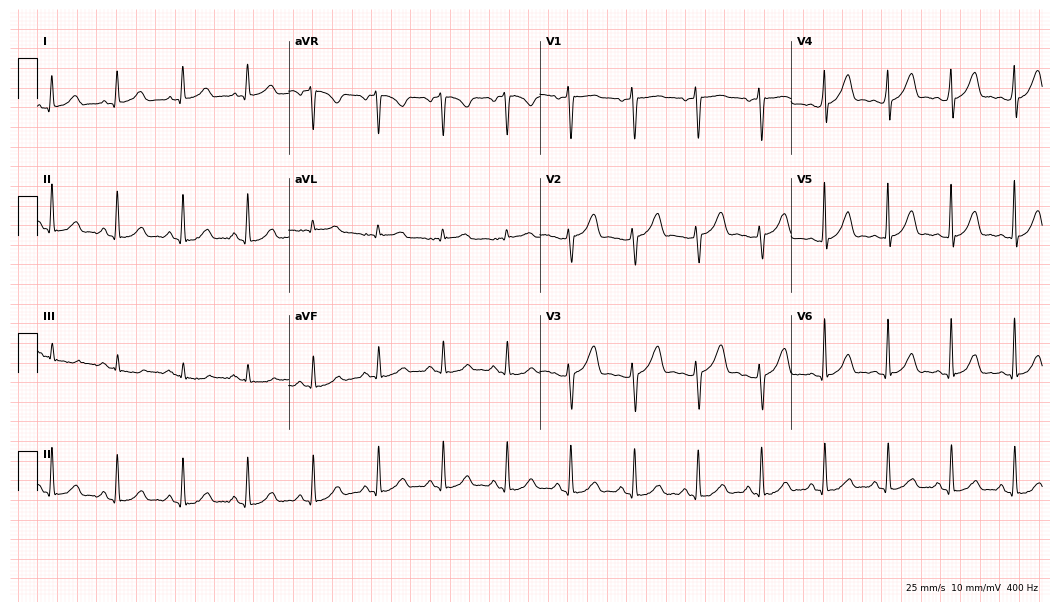
Resting 12-lead electrocardiogram (10.2-second recording at 400 Hz). Patient: a woman, 30 years old. Read as a normal ECG.